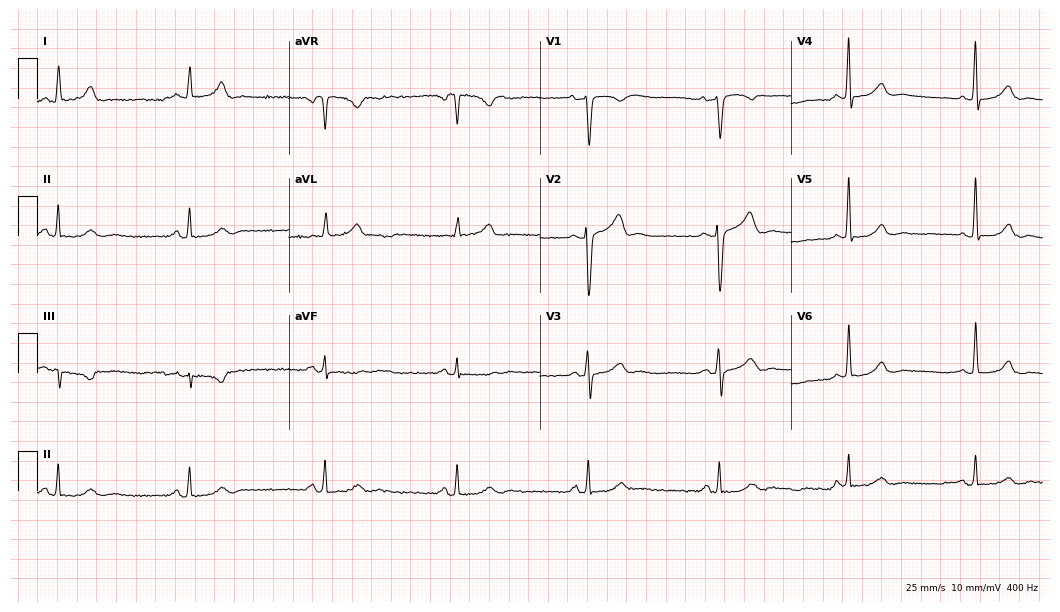
ECG (10.2-second recording at 400 Hz) — a man, 61 years old. Findings include sinus bradycardia (a sinus rate of 50 beats per minute or less).